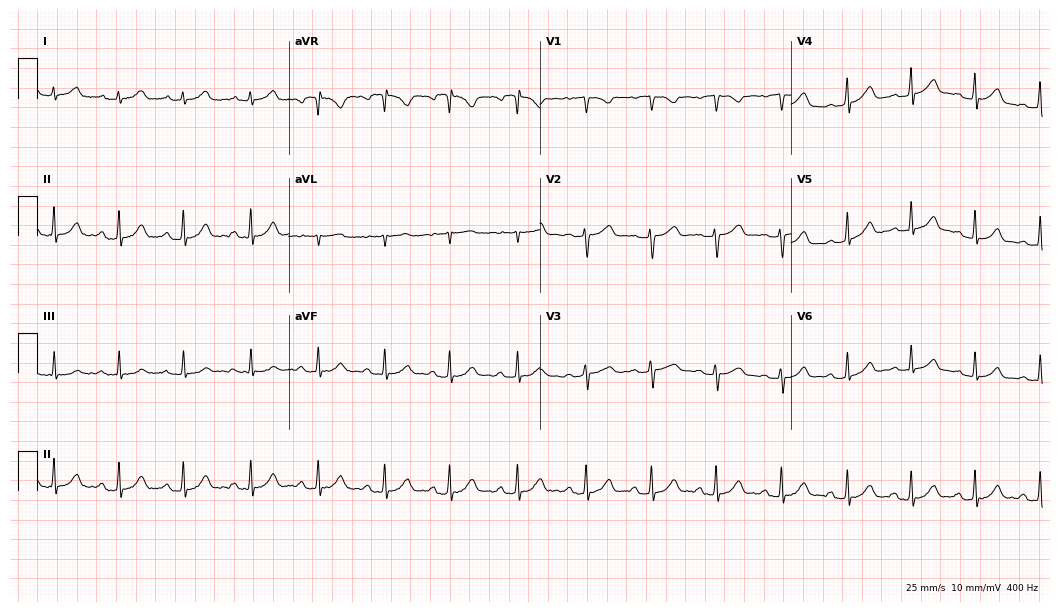
Standard 12-lead ECG recorded from a 17-year-old female. Read as a normal ECG.